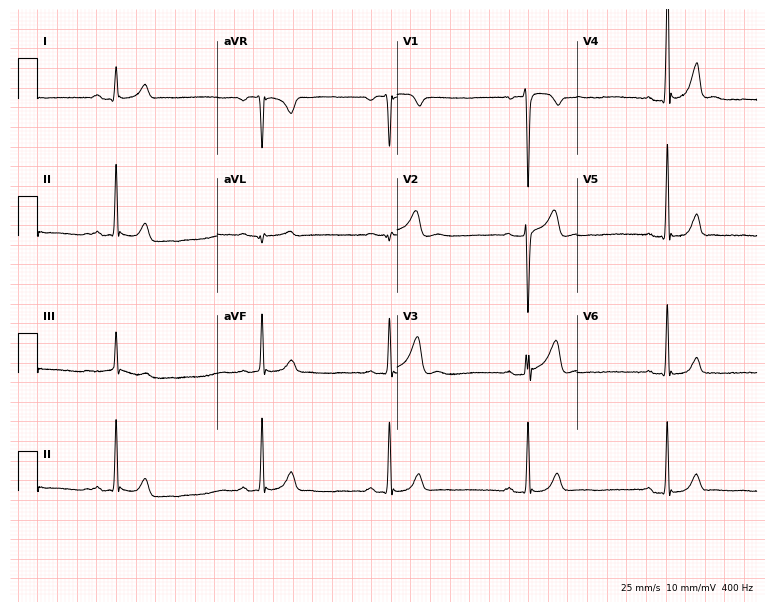
Electrocardiogram, a 27-year-old male patient. Interpretation includes sinus bradycardia (a sinus rate of 50 beats per minute or less).